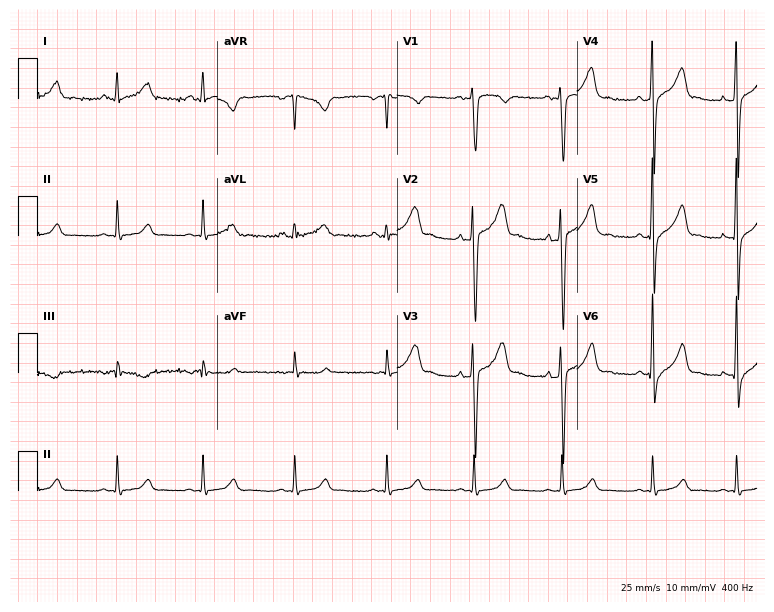
Standard 12-lead ECG recorded from a male, 27 years old. None of these six findings is recorded: first-degree AV block, right bundle branch block, left bundle branch block, sinus bradycardia, atrial fibrillation, sinus tachycardia.